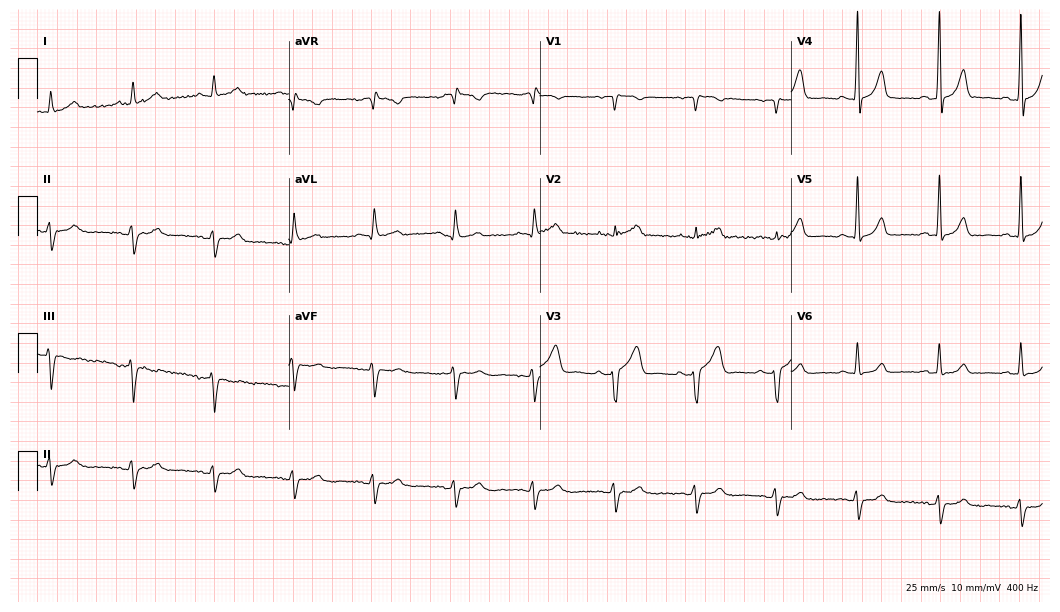
Electrocardiogram, a 55-year-old woman. Of the six screened findings (first-degree AV block, right bundle branch block (RBBB), left bundle branch block (LBBB), sinus bradycardia, atrial fibrillation (AF), sinus tachycardia), none is recorded.